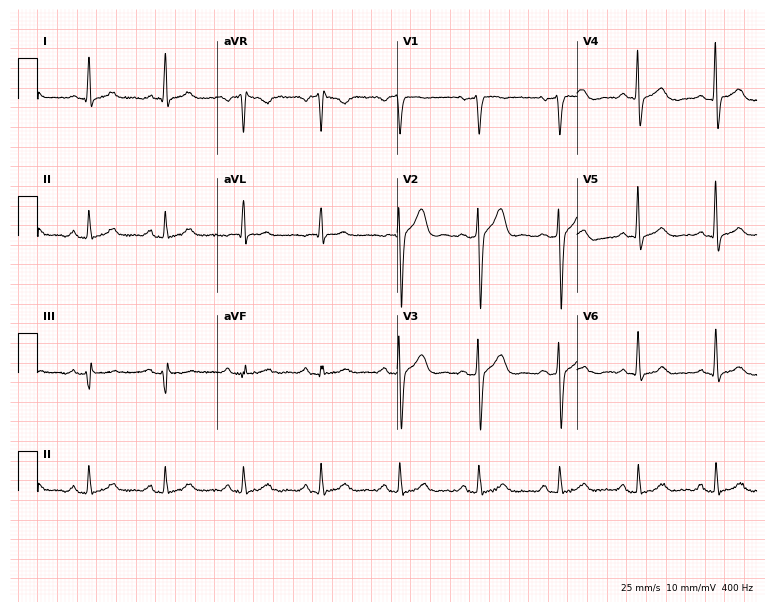
12-lead ECG (7.3-second recording at 400 Hz) from a 44-year-old male patient. Screened for six findings — first-degree AV block, right bundle branch block, left bundle branch block, sinus bradycardia, atrial fibrillation, sinus tachycardia — none is recorded. Only these six findings were labelled.